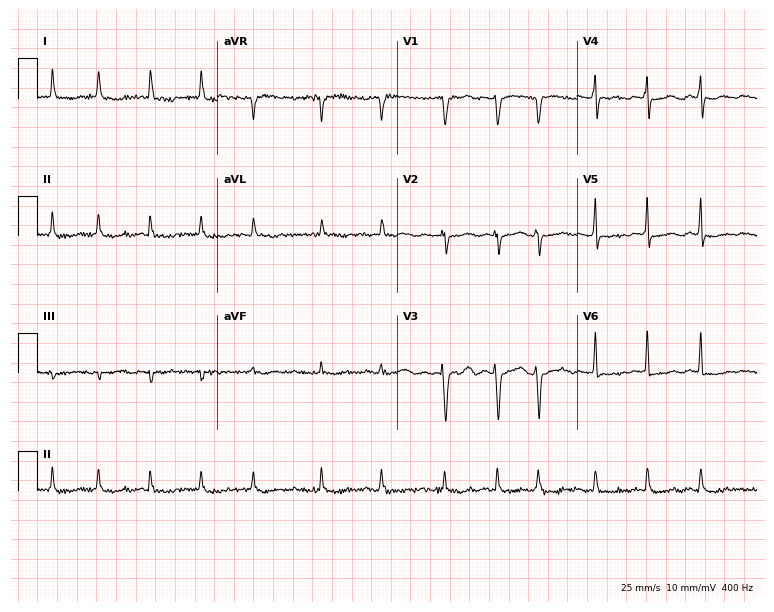
12-lead ECG from a female, 76 years old (7.3-second recording at 400 Hz). Shows atrial fibrillation (AF).